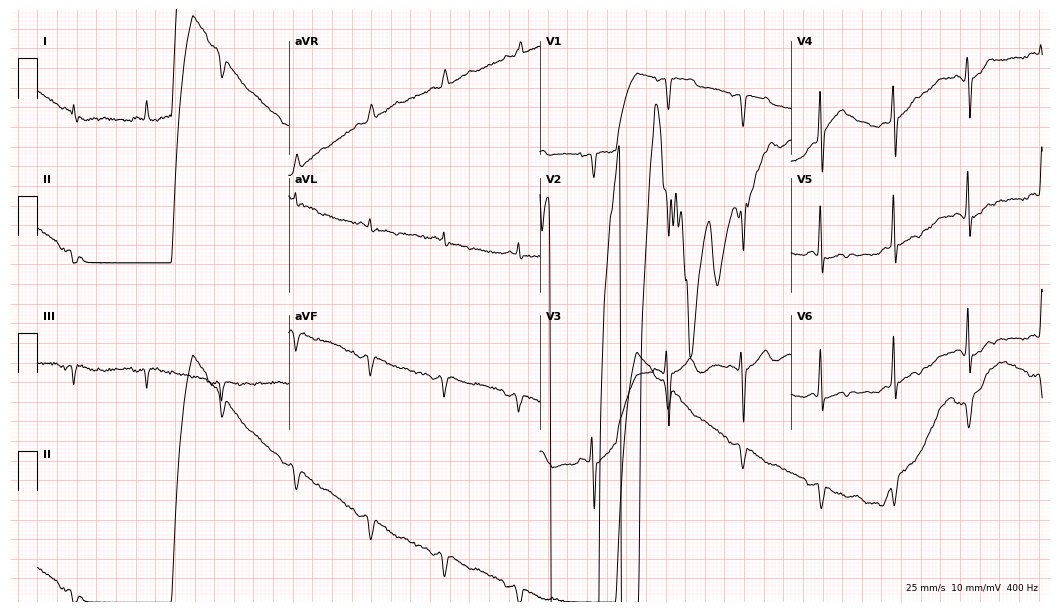
Standard 12-lead ECG recorded from a 65-year-old male. None of these six findings is recorded: first-degree AV block, right bundle branch block (RBBB), left bundle branch block (LBBB), sinus bradycardia, atrial fibrillation (AF), sinus tachycardia. Findings outside these six are not listed.